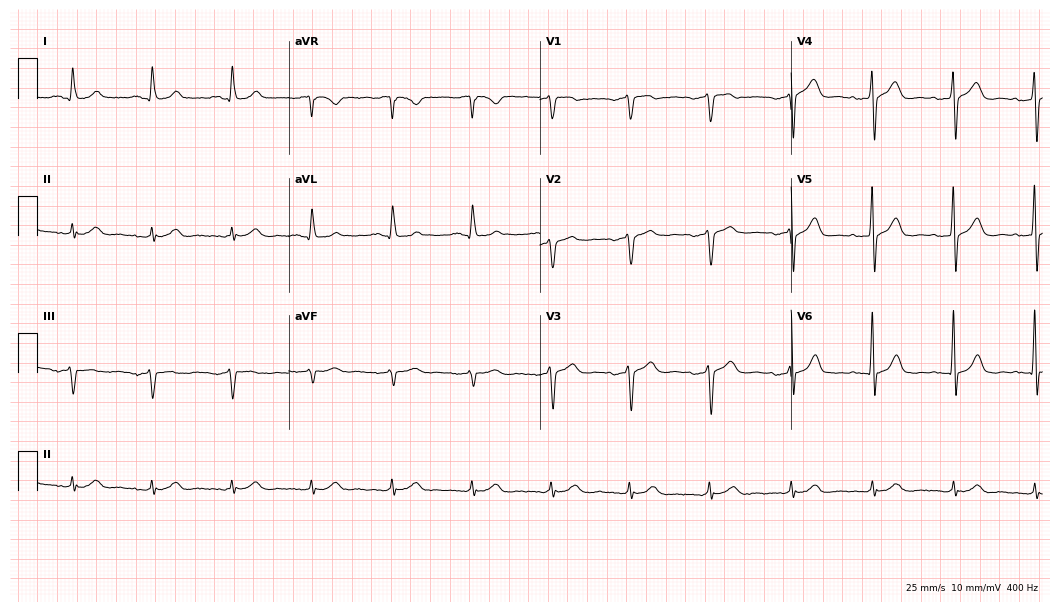
12-lead ECG from a man, 73 years old. Labelled as a normal ECG.